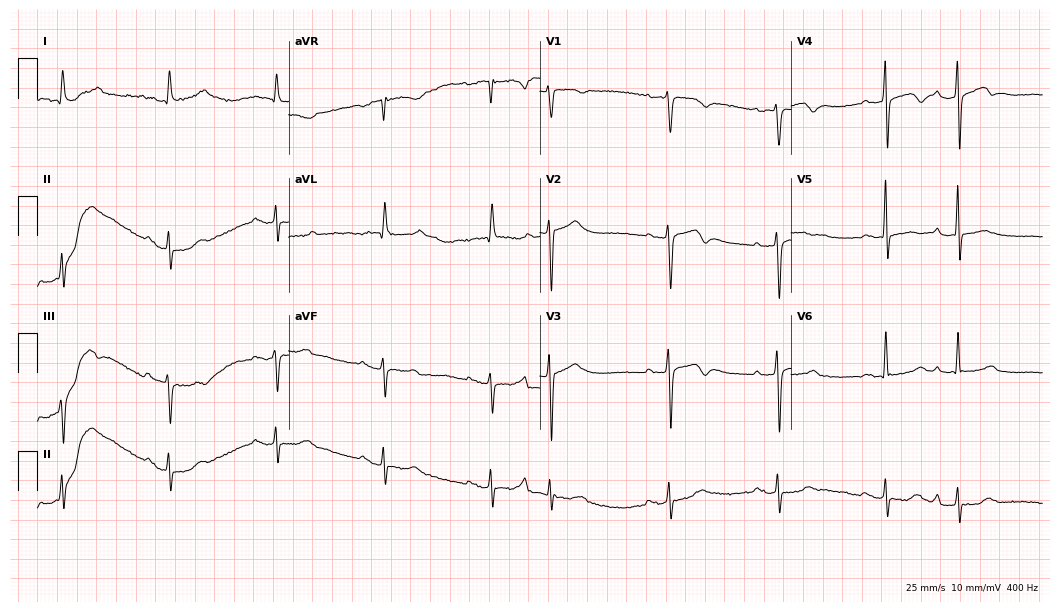
12-lead ECG from a male patient, 83 years old. No first-degree AV block, right bundle branch block (RBBB), left bundle branch block (LBBB), sinus bradycardia, atrial fibrillation (AF) or sinus tachycardia recorded for this tracing.